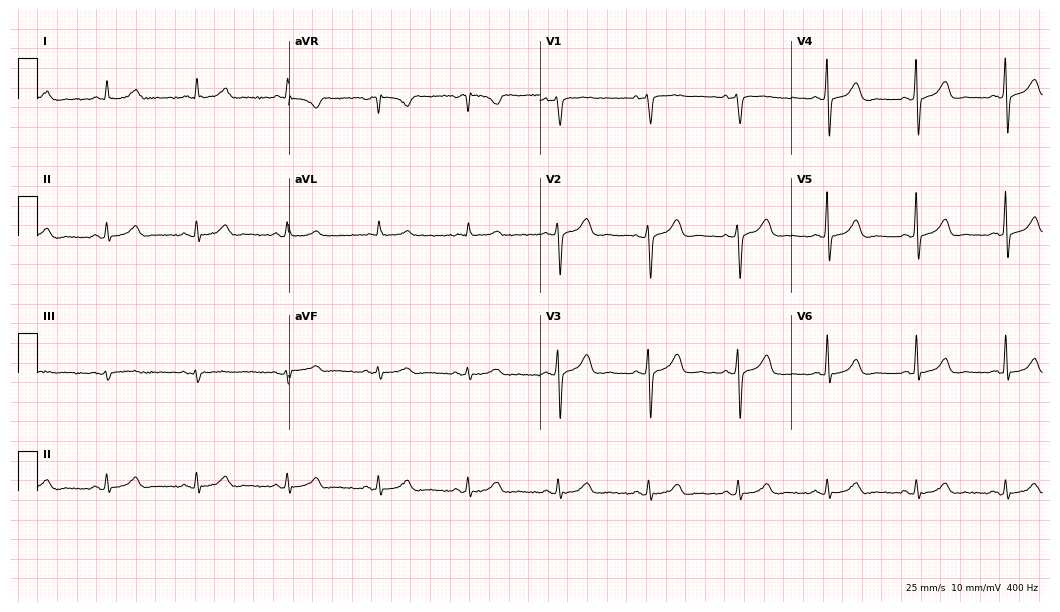
12-lead ECG from a 66-year-old female patient. Labelled as a normal ECG.